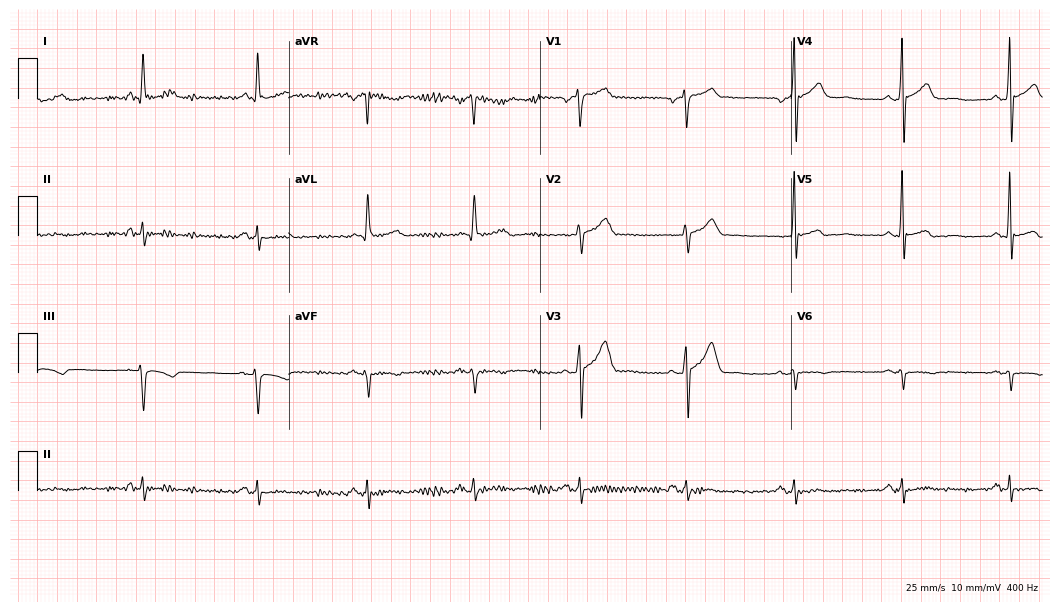
Resting 12-lead electrocardiogram (10.2-second recording at 400 Hz). Patient: a male, 65 years old. Read as a normal ECG.